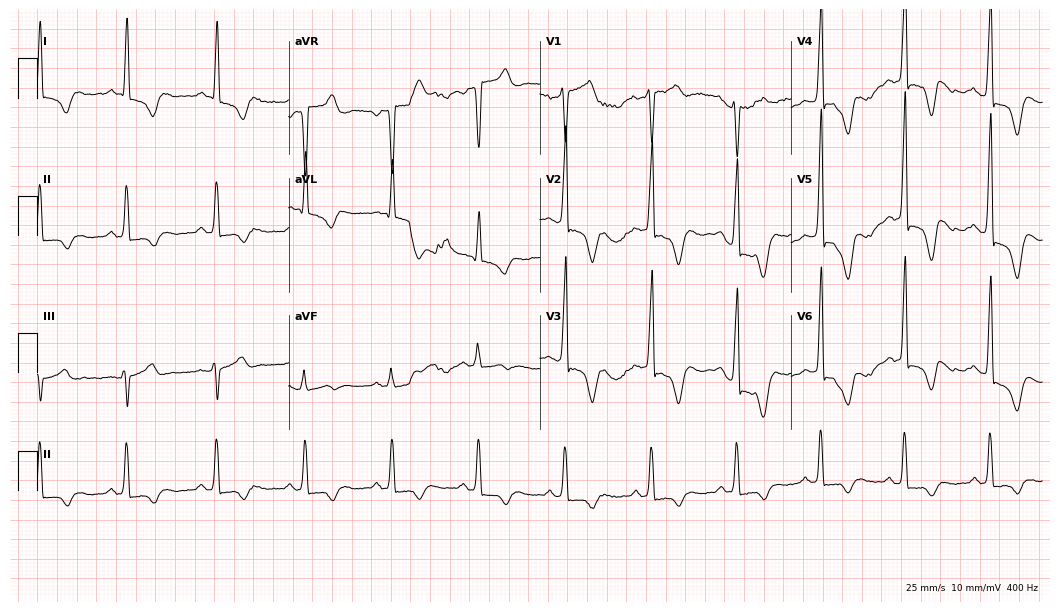
12-lead ECG from a 56-year-old male. No first-degree AV block, right bundle branch block (RBBB), left bundle branch block (LBBB), sinus bradycardia, atrial fibrillation (AF) or sinus tachycardia recorded for this tracing.